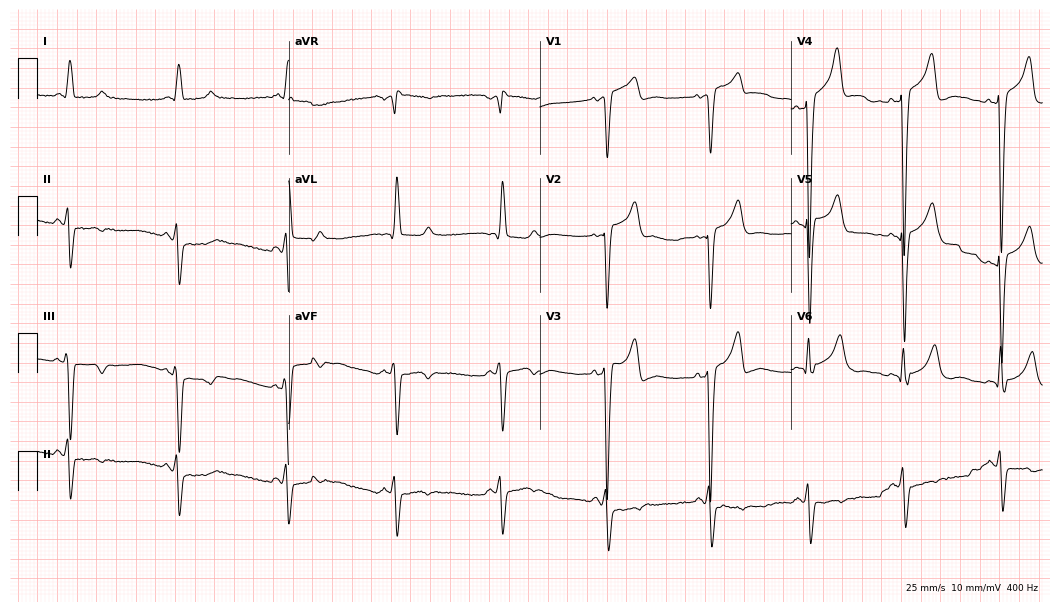
12-lead ECG from a male patient, 80 years old. Screened for six findings — first-degree AV block, right bundle branch block, left bundle branch block, sinus bradycardia, atrial fibrillation, sinus tachycardia — none is recorded. Findings outside these six are not listed.